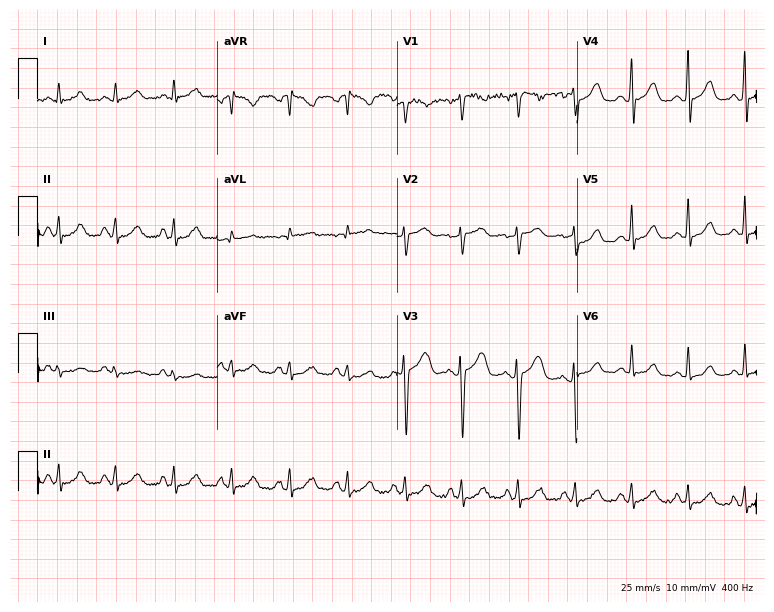
12-lead ECG (7.3-second recording at 400 Hz) from a 42-year-old woman. Screened for six findings — first-degree AV block, right bundle branch block, left bundle branch block, sinus bradycardia, atrial fibrillation, sinus tachycardia — none is recorded. Only these six findings were labelled.